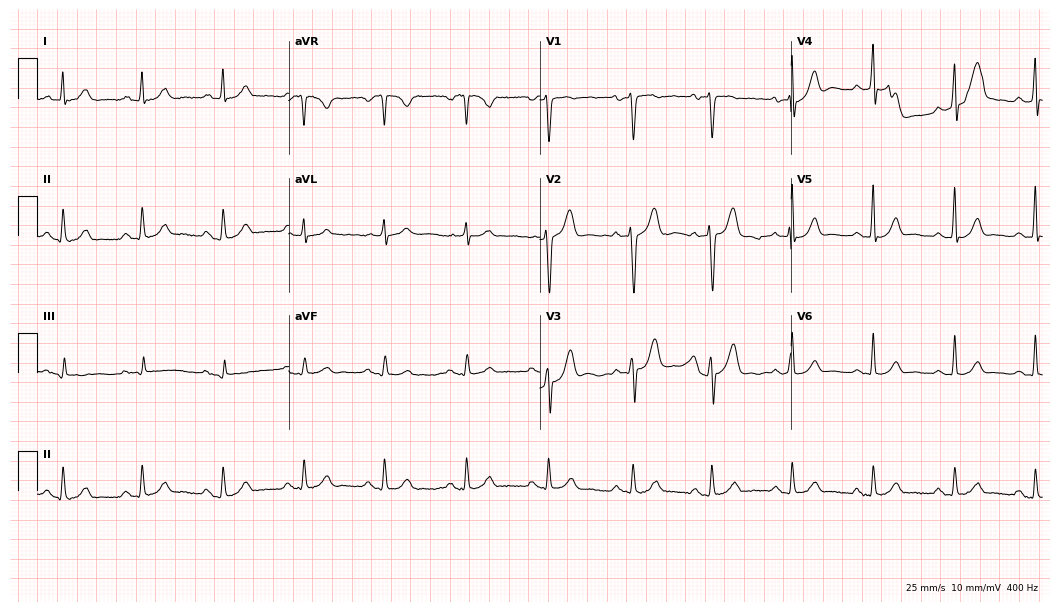
12-lead ECG (10.2-second recording at 400 Hz) from a man, 45 years old. Labelled as a normal ECG.